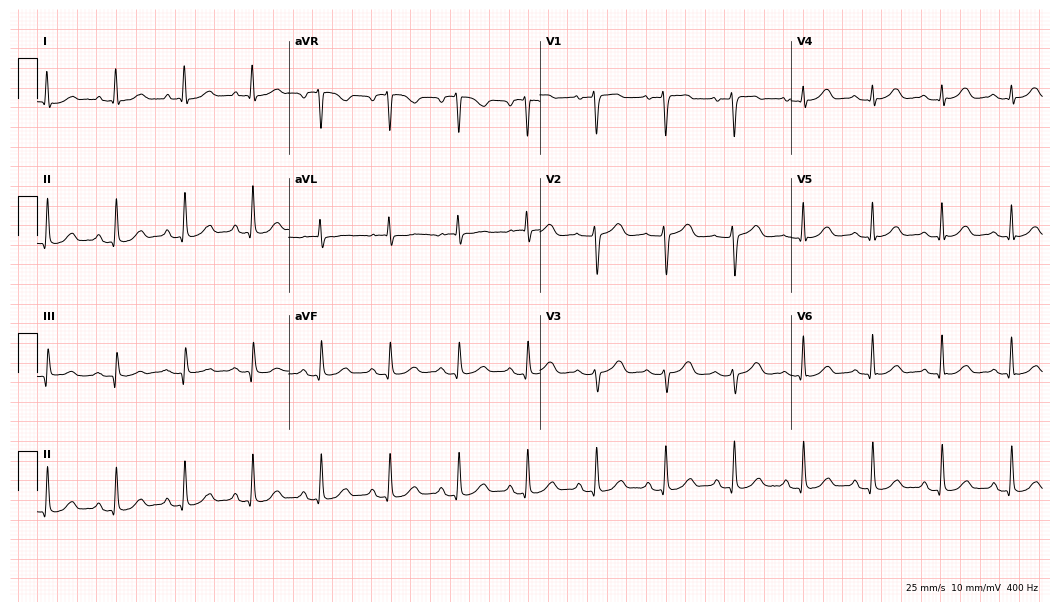
Electrocardiogram (10.2-second recording at 400 Hz), a female, 75 years old. Overall reading on record: normal ECG.